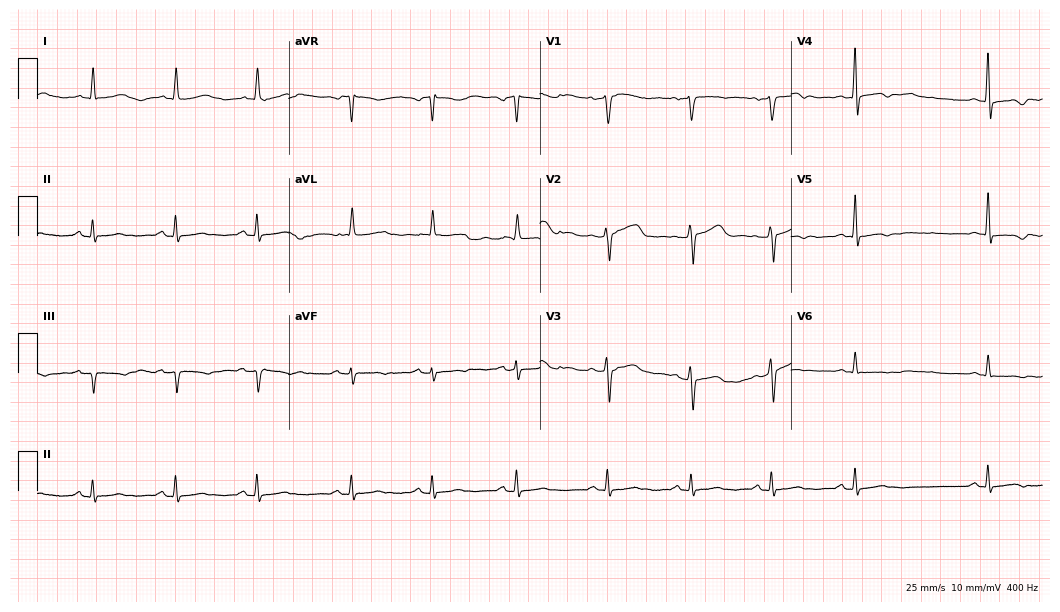
12-lead ECG from a female patient, 59 years old (10.2-second recording at 400 Hz). No first-degree AV block, right bundle branch block (RBBB), left bundle branch block (LBBB), sinus bradycardia, atrial fibrillation (AF) or sinus tachycardia recorded for this tracing. Findings outside these six are not listed.